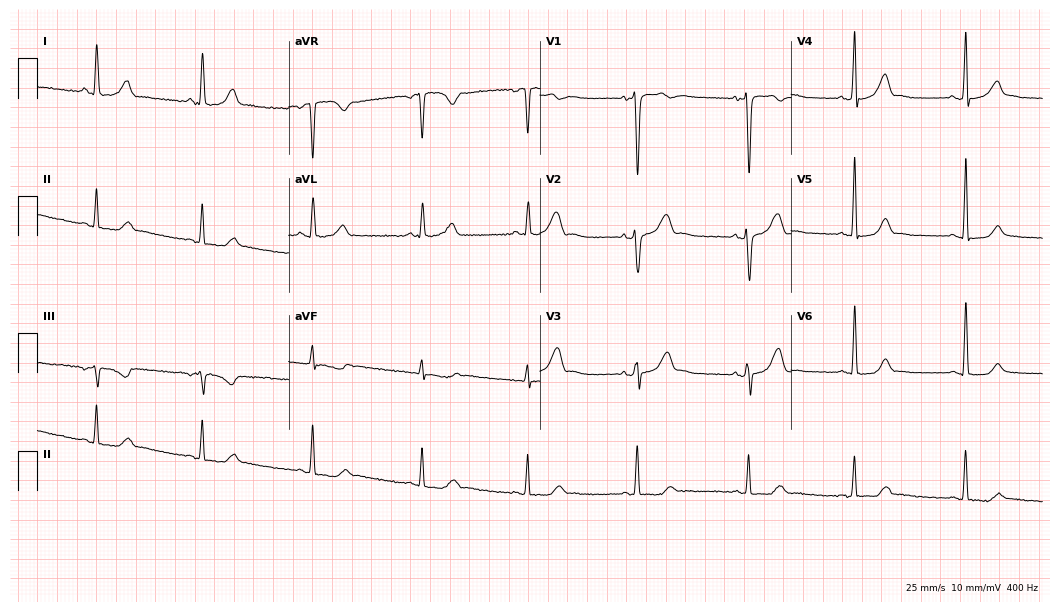
Electrocardiogram (10.2-second recording at 400 Hz), a woman, 37 years old. Of the six screened findings (first-degree AV block, right bundle branch block, left bundle branch block, sinus bradycardia, atrial fibrillation, sinus tachycardia), none is recorded. Findings outside these six are not listed.